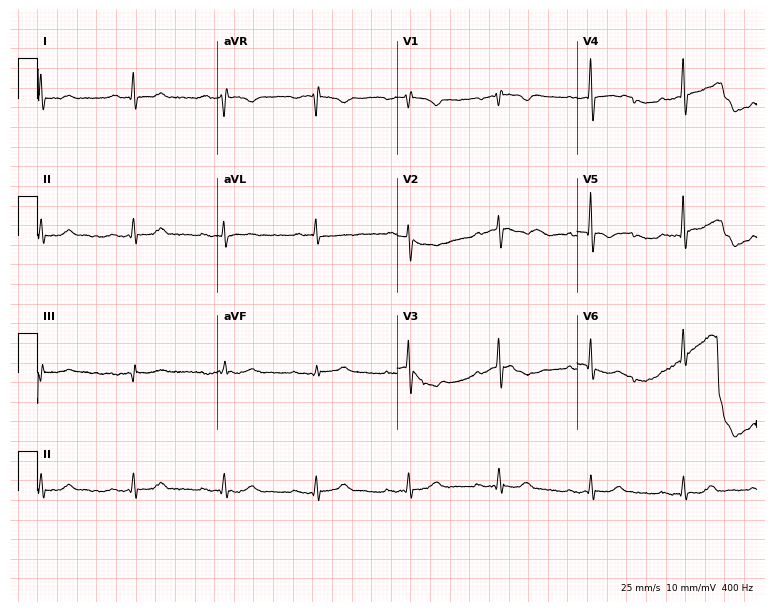
12-lead ECG from a male, 74 years old (7.3-second recording at 400 Hz). No first-degree AV block, right bundle branch block (RBBB), left bundle branch block (LBBB), sinus bradycardia, atrial fibrillation (AF) or sinus tachycardia recorded for this tracing.